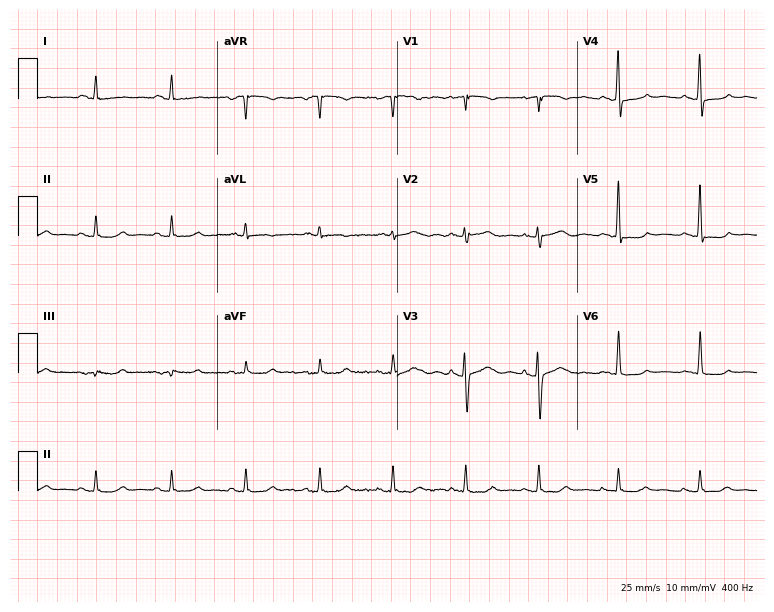
Electrocardiogram (7.3-second recording at 400 Hz), a 60-year-old female. Of the six screened findings (first-degree AV block, right bundle branch block, left bundle branch block, sinus bradycardia, atrial fibrillation, sinus tachycardia), none is recorded. Other findings, if any, are not listed.